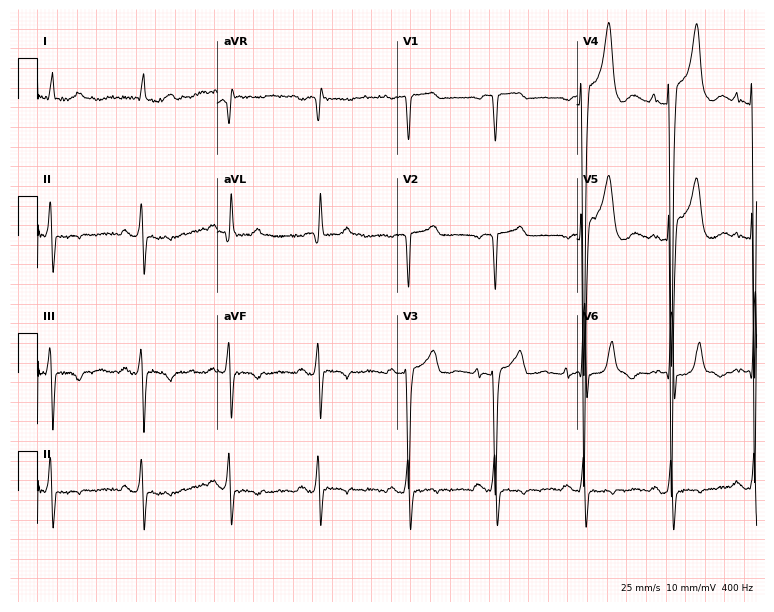
ECG (7.3-second recording at 400 Hz) — a 73-year-old male. Screened for six findings — first-degree AV block, right bundle branch block, left bundle branch block, sinus bradycardia, atrial fibrillation, sinus tachycardia — none is recorded.